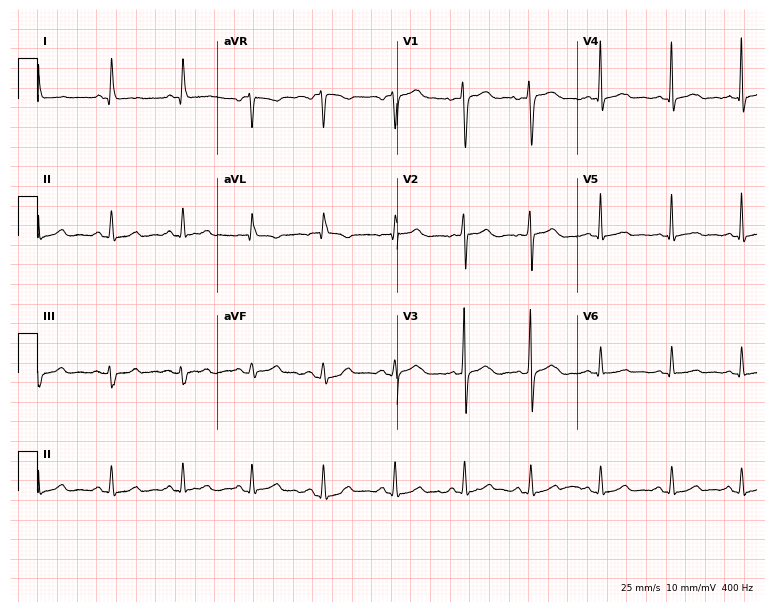
12-lead ECG from a female patient, 42 years old (7.3-second recording at 400 Hz). No first-degree AV block, right bundle branch block, left bundle branch block, sinus bradycardia, atrial fibrillation or sinus tachycardia recorded for this tracing. Findings outside these six are not listed.